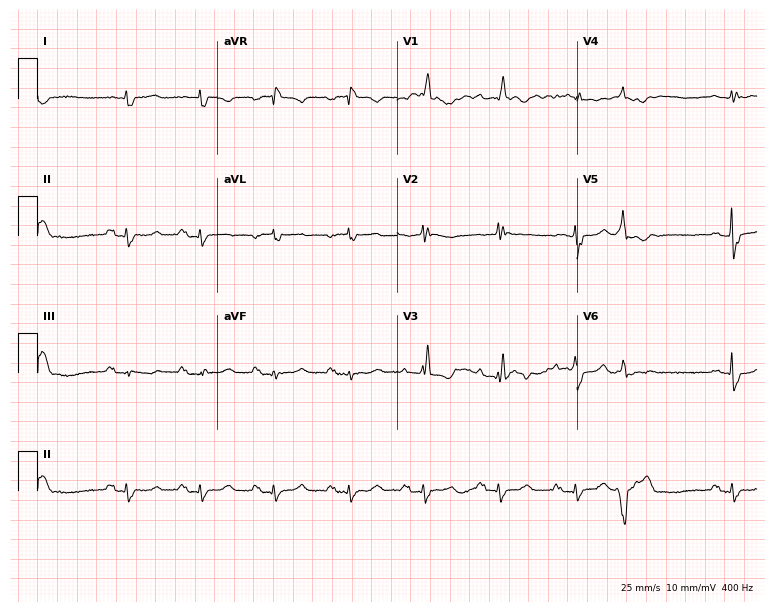
ECG — an 82-year-old male. Screened for six findings — first-degree AV block, right bundle branch block, left bundle branch block, sinus bradycardia, atrial fibrillation, sinus tachycardia — none is recorded. Only these six findings were labelled.